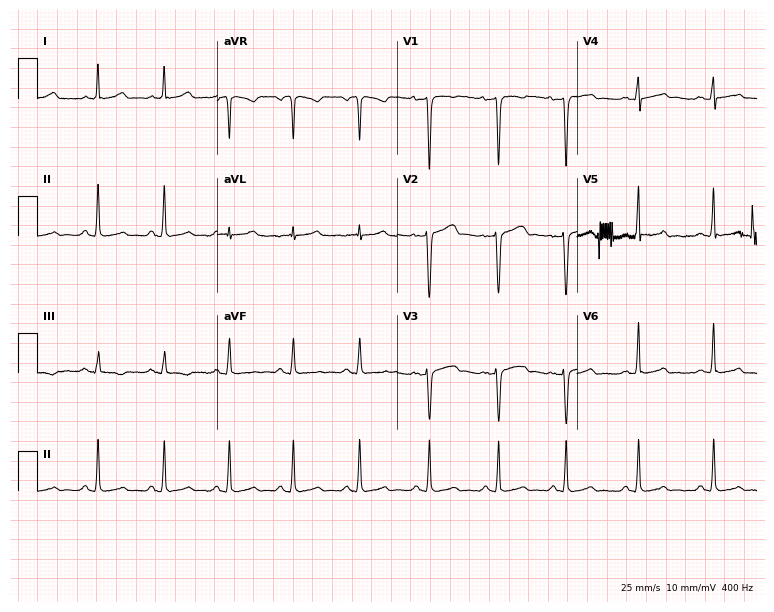
Standard 12-lead ECG recorded from a 32-year-old woman (7.3-second recording at 400 Hz). None of these six findings is recorded: first-degree AV block, right bundle branch block (RBBB), left bundle branch block (LBBB), sinus bradycardia, atrial fibrillation (AF), sinus tachycardia. Only these six findings were labelled.